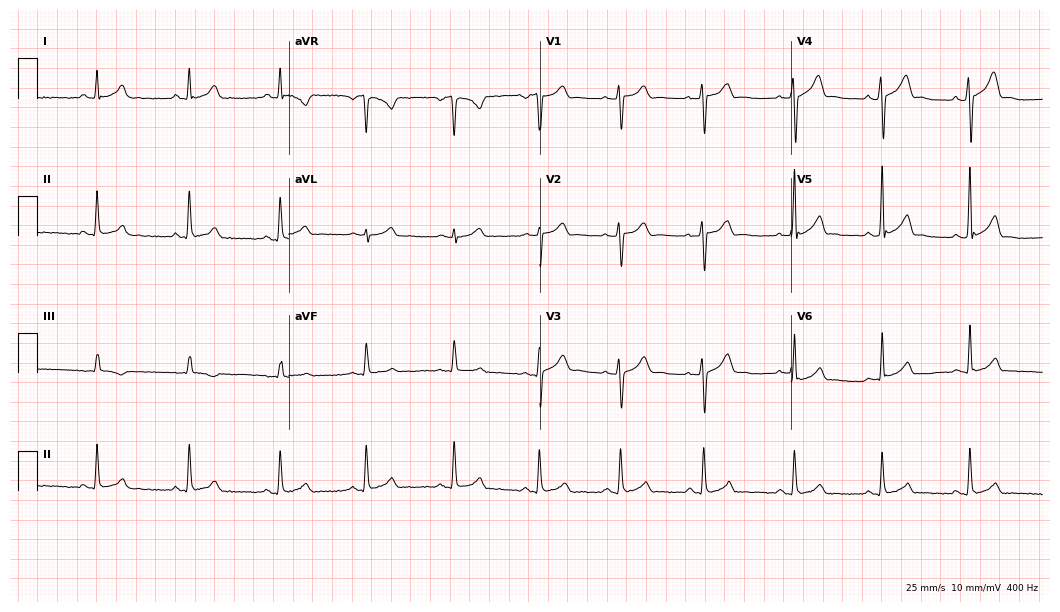
Electrocardiogram (10.2-second recording at 400 Hz), a male, 38 years old. Overall reading on record: normal ECG.